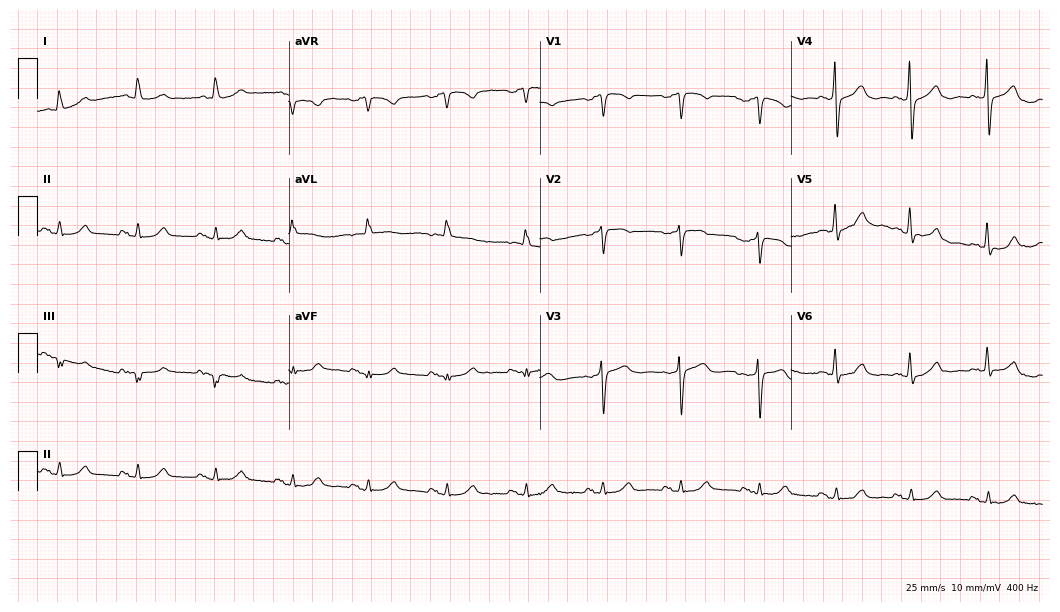
Electrocardiogram, a female patient, 77 years old. Of the six screened findings (first-degree AV block, right bundle branch block, left bundle branch block, sinus bradycardia, atrial fibrillation, sinus tachycardia), none is recorded. Only these six findings were labelled.